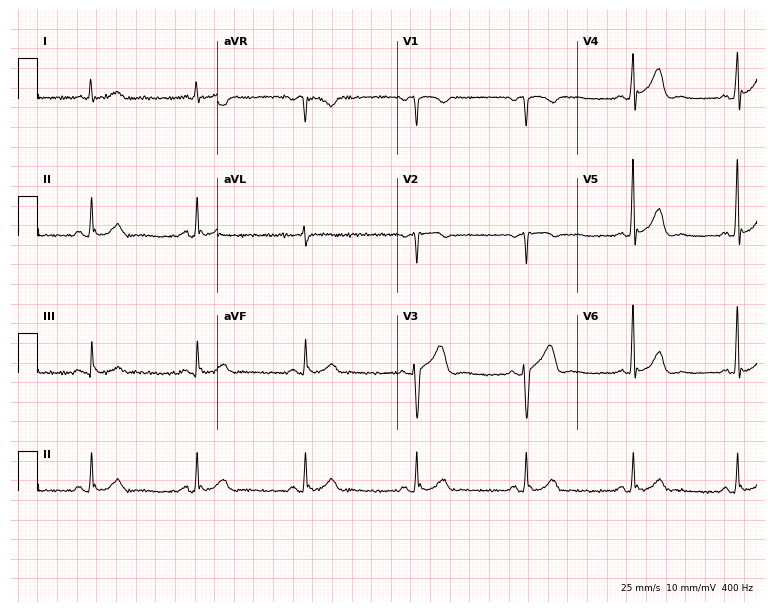
12-lead ECG from a 62-year-old male patient. Screened for six findings — first-degree AV block, right bundle branch block, left bundle branch block, sinus bradycardia, atrial fibrillation, sinus tachycardia — none is recorded.